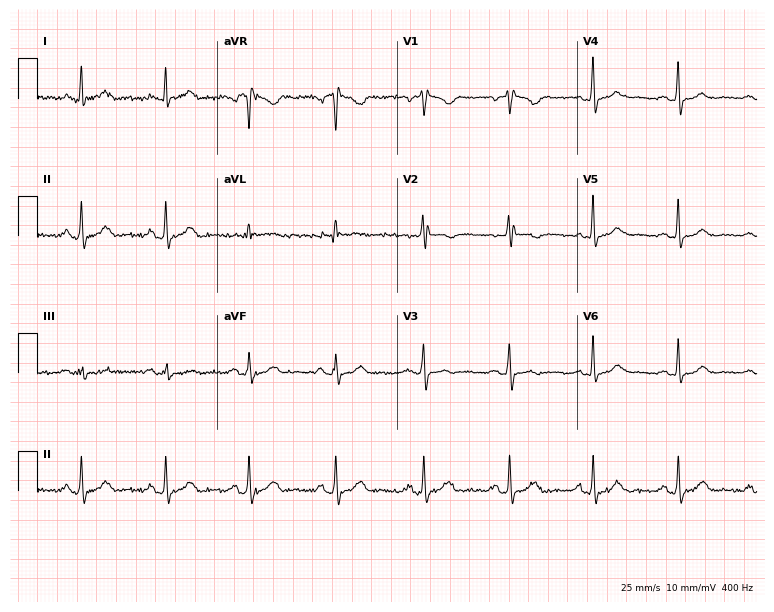
12-lead ECG (7.3-second recording at 400 Hz) from a 53-year-old woman. Screened for six findings — first-degree AV block, right bundle branch block, left bundle branch block, sinus bradycardia, atrial fibrillation, sinus tachycardia — none is recorded.